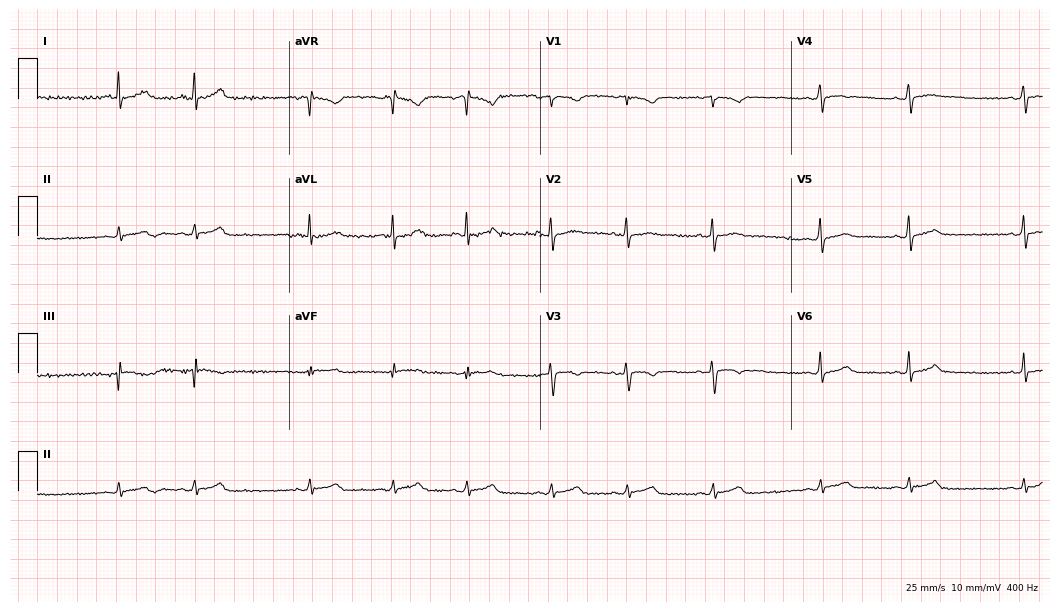
Resting 12-lead electrocardiogram. Patient: a 29-year-old female. Read as a normal ECG.